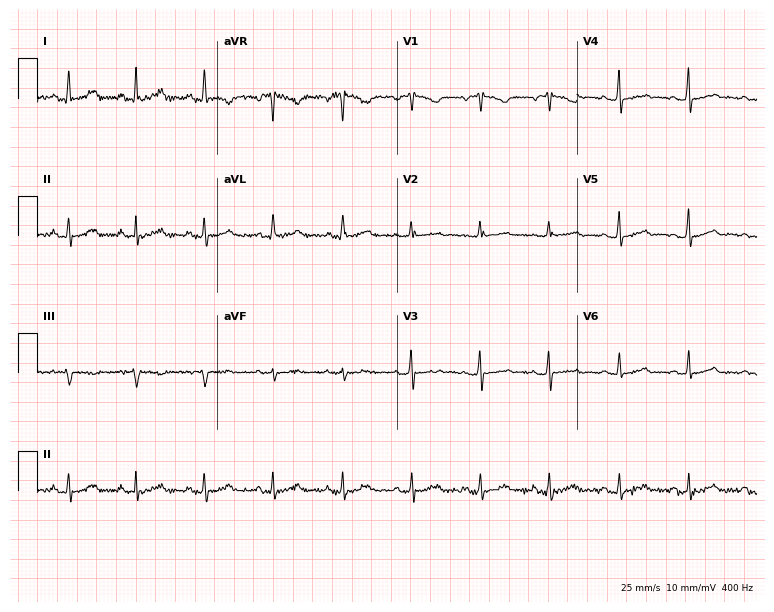
Standard 12-lead ECG recorded from a 49-year-old woman (7.3-second recording at 400 Hz). None of these six findings is recorded: first-degree AV block, right bundle branch block, left bundle branch block, sinus bradycardia, atrial fibrillation, sinus tachycardia. Findings outside these six are not listed.